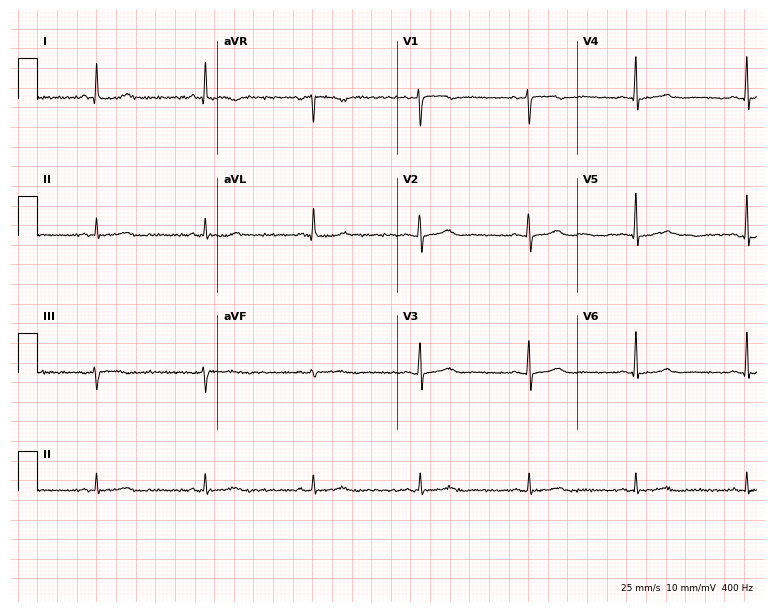
ECG — a woman, 49 years old. Labelled as a normal ECG.